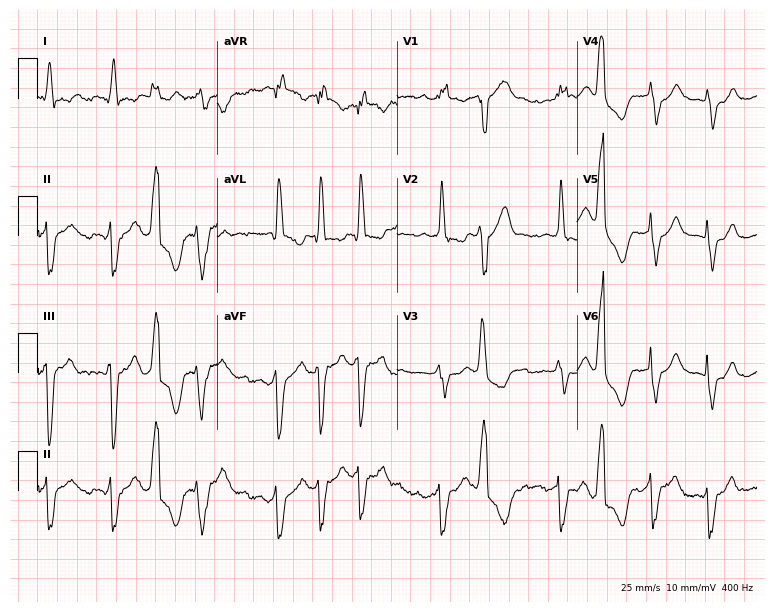
ECG (7.3-second recording at 400 Hz) — a woman, 80 years old. Findings include atrial fibrillation, sinus tachycardia (a sinus rate of 100 beats per minute or more).